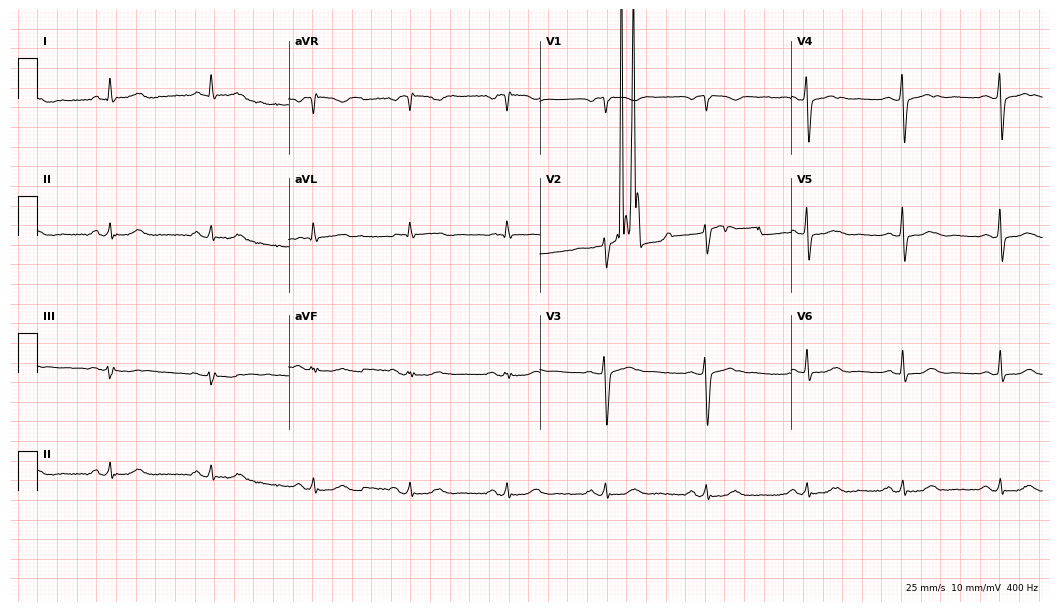
ECG (10.2-second recording at 400 Hz) — a female, 64 years old. Screened for six findings — first-degree AV block, right bundle branch block (RBBB), left bundle branch block (LBBB), sinus bradycardia, atrial fibrillation (AF), sinus tachycardia — none is recorded.